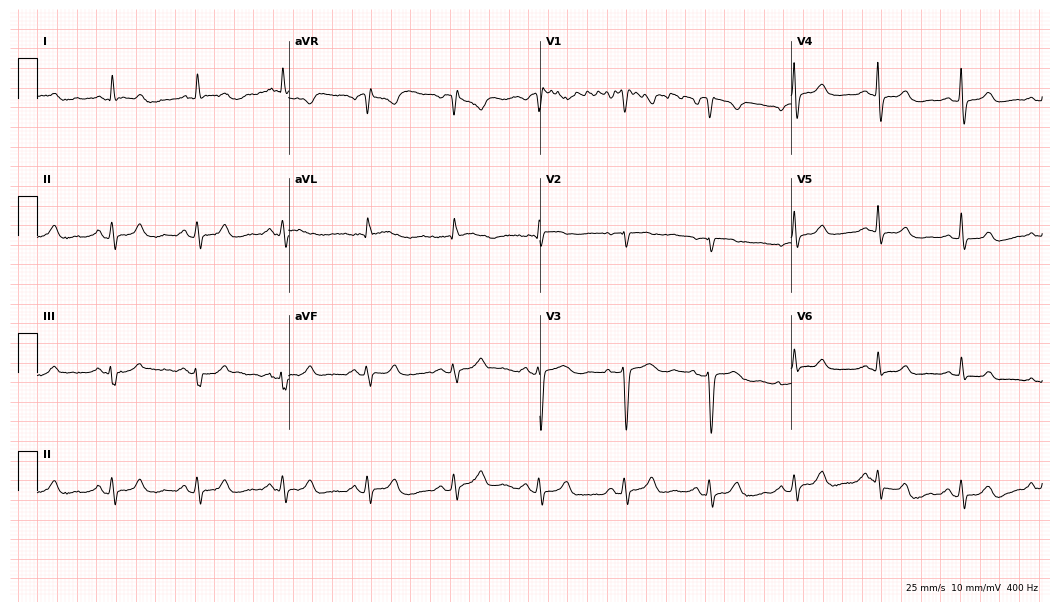
Electrocardiogram, a female, 78 years old. Overall reading on record: normal ECG.